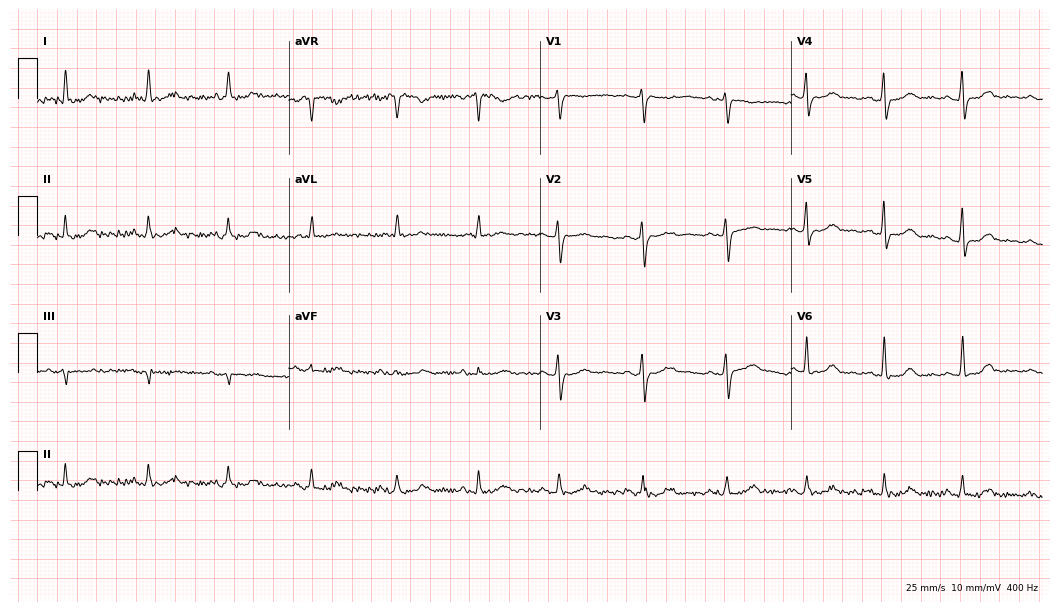
Standard 12-lead ECG recorded from a female, 57 years old. Read as a normal ECG.